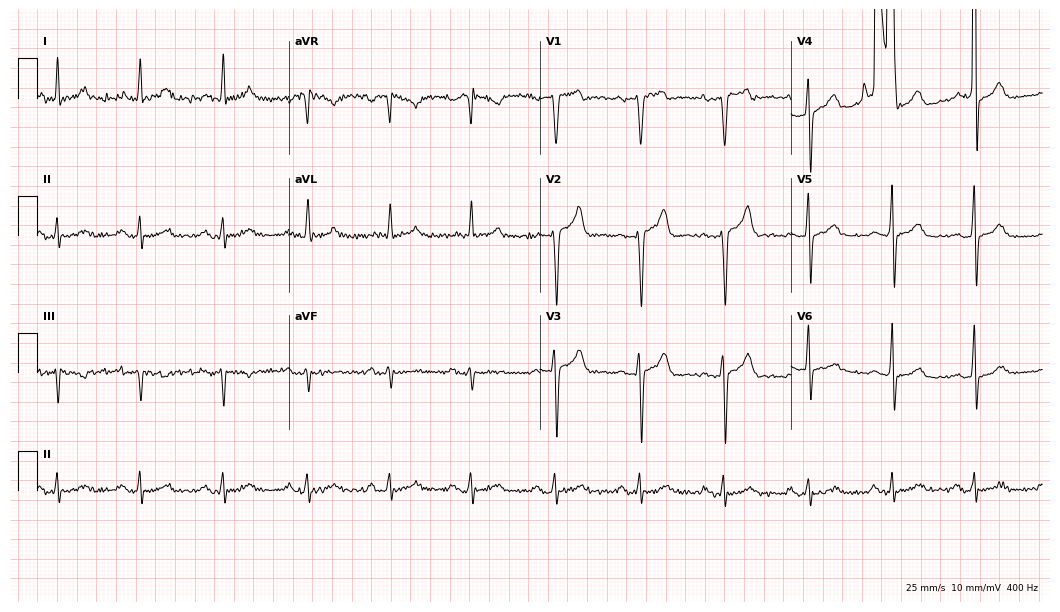
Standard 12-lead ECG recorded from a man, 47 years old. None of these six findings is recorded: first-degree AV block, right bundle branch block, left bundle branch block, sinus bradycardia, atrial fibrillation, sinus tachycardia. Other findings, if any, are not listed.